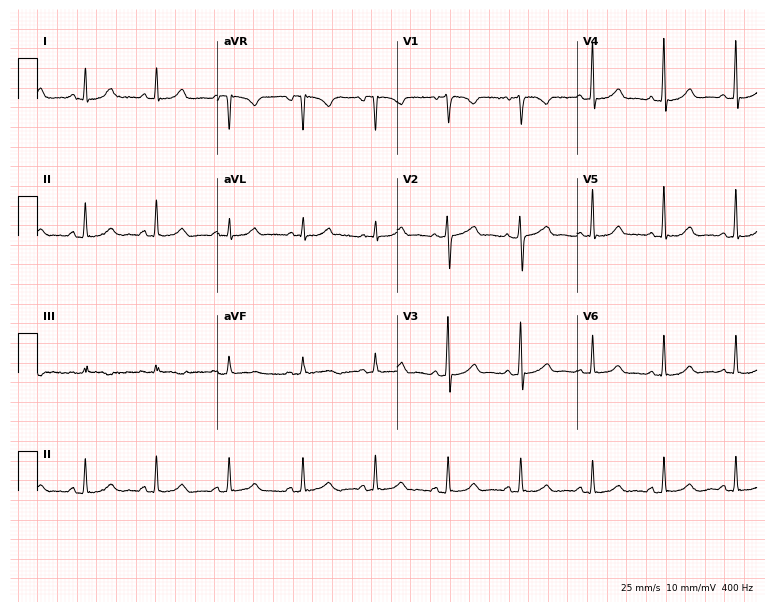
12-lead ECG from a 48-year-old female patient. Screened for six findings — first-degree AV block, right bundle branch block (RBBB), left bundle branch block (LBBB), sinus bradycardia, atrial fibrillation (AF), sinus tachycardia — none is recorded.